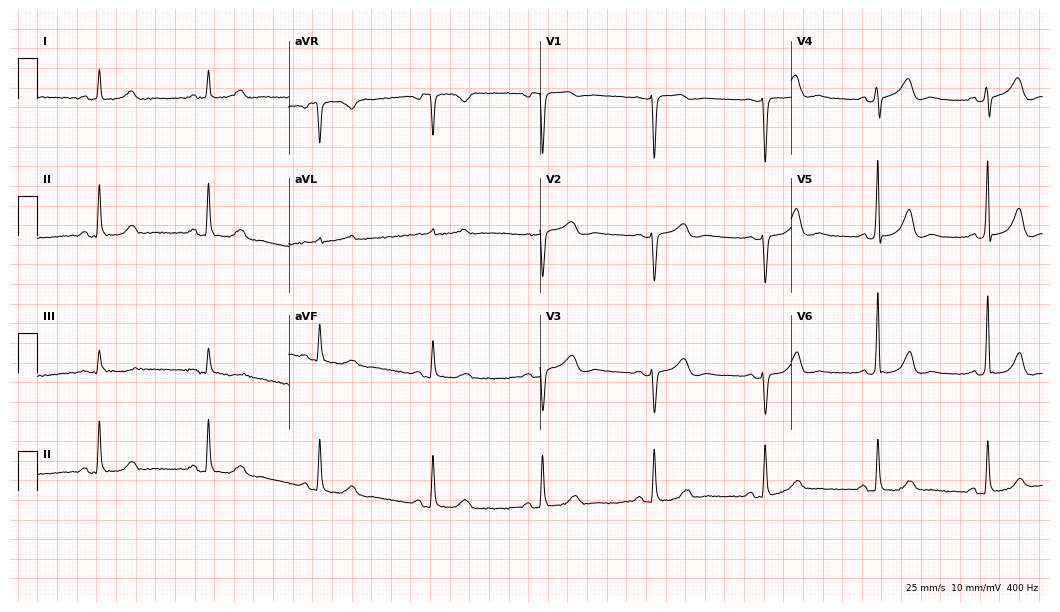
Standard 12-lead ECG recorded from a woman, 69 years old. None of these six findings is recorded: first-degree AV block, right bundle branch block (RBBB), left bundle branch block (LBBB), sinus bradycardia, atrial fibrillation (AF), sinus tachycardia.